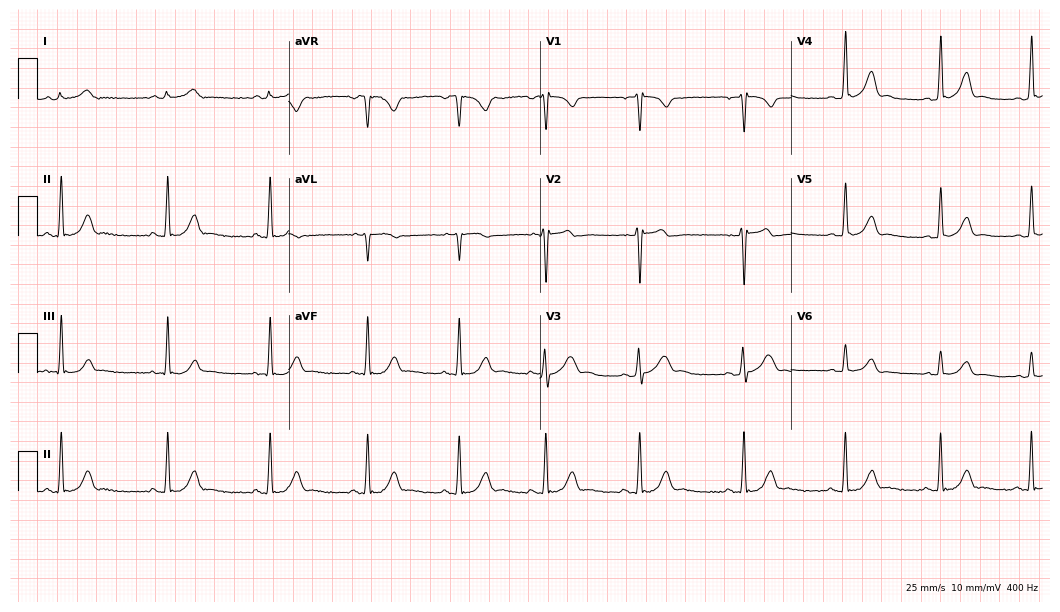
12-lead ECG from a man, 30 years old (10.2-second recording at 400 Hz). Recorded interpretation: within normal limits.